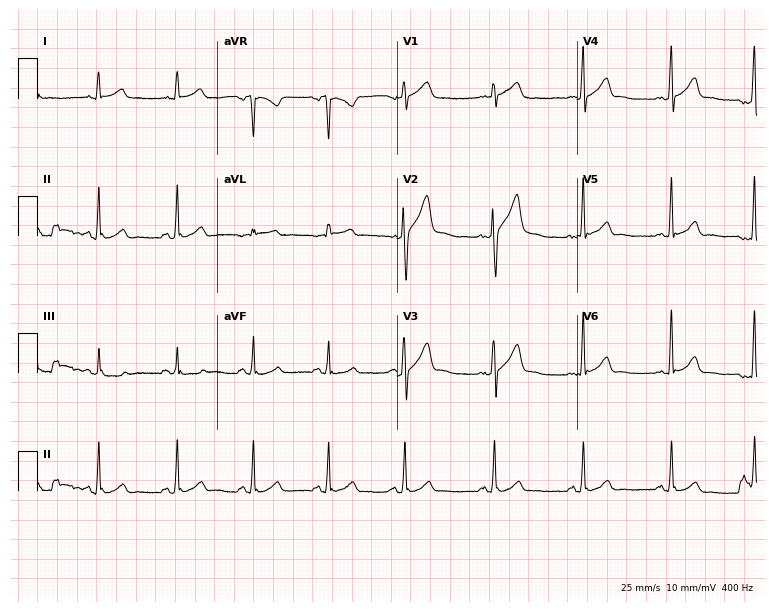
12-lead ECG (7.3-second recording at 400 Hz) from a 39-year-old male. Screened for six findings — first-degree AV block, right bundle branch block, left bundle branch block, sinus bradycardia, atrial fibrillation, sinus tachycardia — none is recorded. Other findings, if any, are not listed.